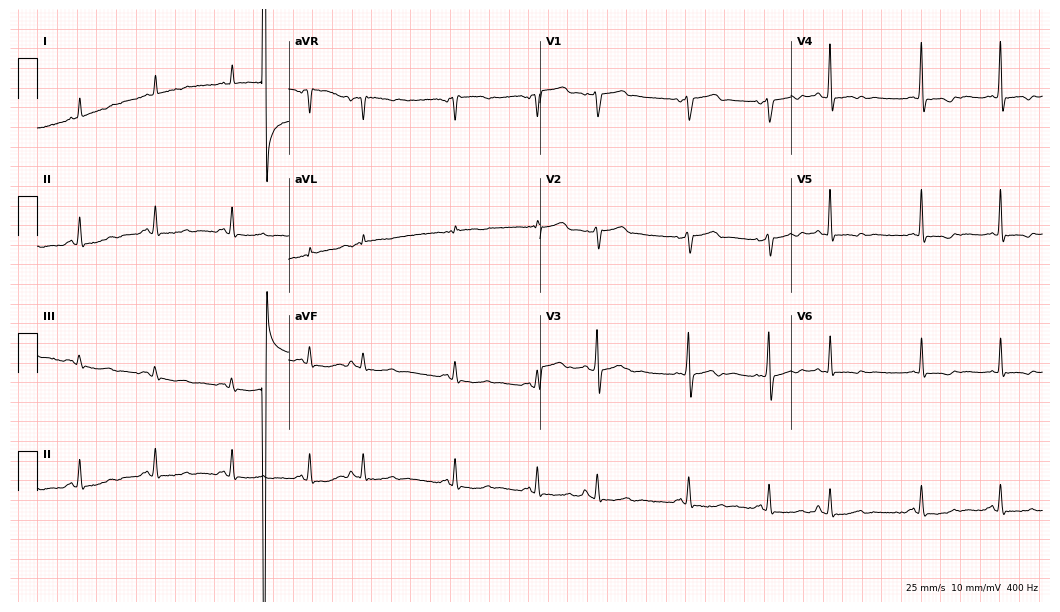
Resting 12-lead electrocardiogram (10.2-second recording at 400 Hz). Patient: an 84-year-old man. None of these six findings is recorded: first-degree AV block, right bundle branch block (RBBB), left bundle branch block (LBBB), sinus bradycardia, atrial fibrillation (AF), sinus tachycardia. Only these six findings were labelled.